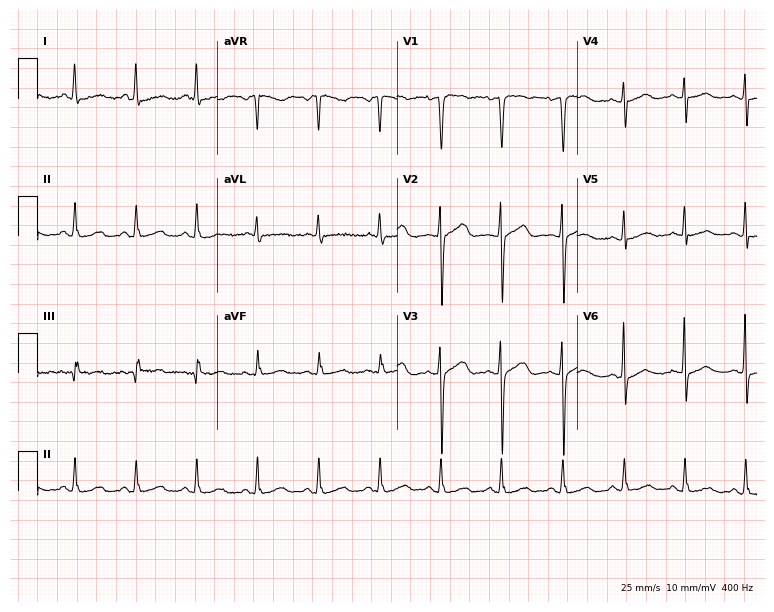
Electrocardiogram, a 37-year-old female. Overall reading on record: normal ECG.